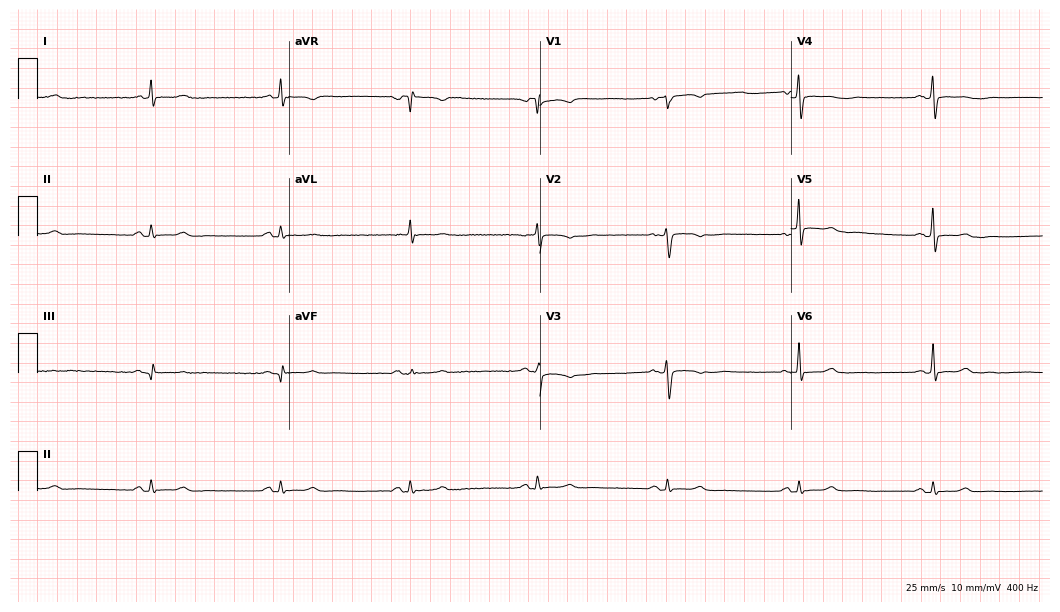
Resting 12-lead electrocardiogram. Patient: a woman, 57 years old. None of these six findings is recorded: first-degree AV block, right bundle branch block, left bundle branch block, sinus bradycardia, atrial fibrillation, sinus tachycardia. Only these six findings were labelled.